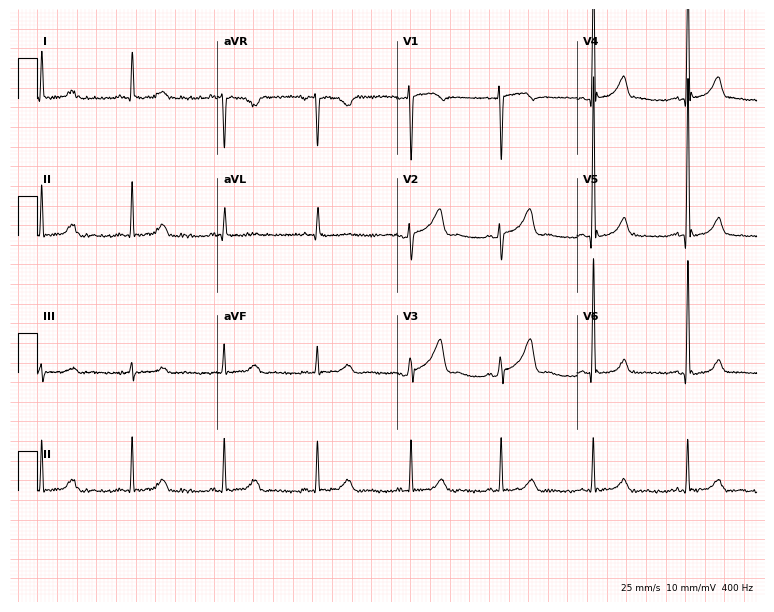
ECG (7.3-second recording at 400 Hz) — a 55-year-old woman. Screened for six findings — first-degree AV block, right bundle branch block (RBBB), left bundle branch block (LBBB), sinus bradycardia, atrial fibrillation (AF), sinus tachycardia — none is recorded.